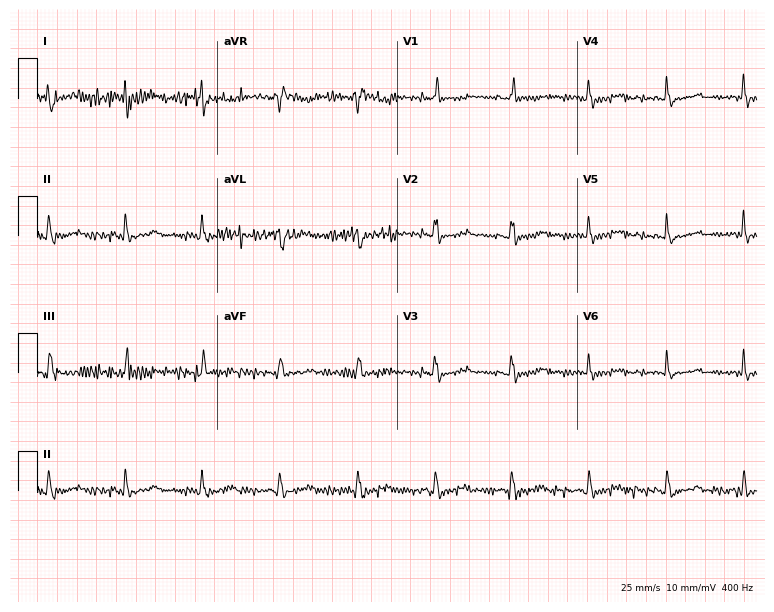
12-lead ECG from a woman, 53 years old (7.3-second recording at 400 Hz). No first-degree AV block, right bundle branch block, left bundle branch block, sinus bradycardia, atrial fibrillation or sinus tachycardia recorded for this tracing.